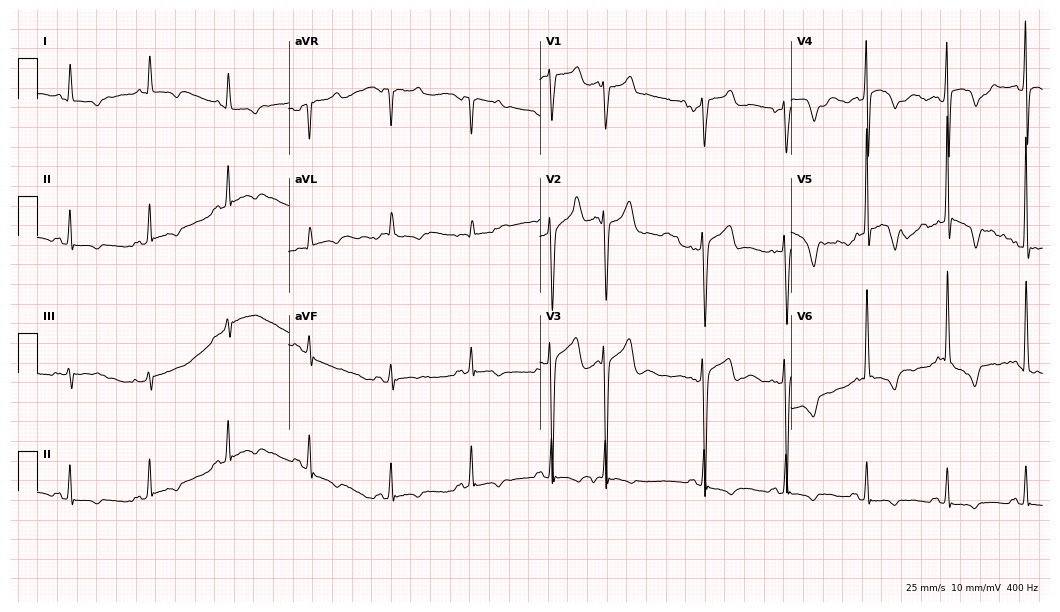
Resting 12-lead electrocardiogram (10.2-second recording at 400 Hz). Patient: a 63-year-old male. None of these six findings is recorded: first-degree AV block, right bundle branch block, left bundle branch block, sinus bradycardia, atrial fibrillation, sinus tachycardia.